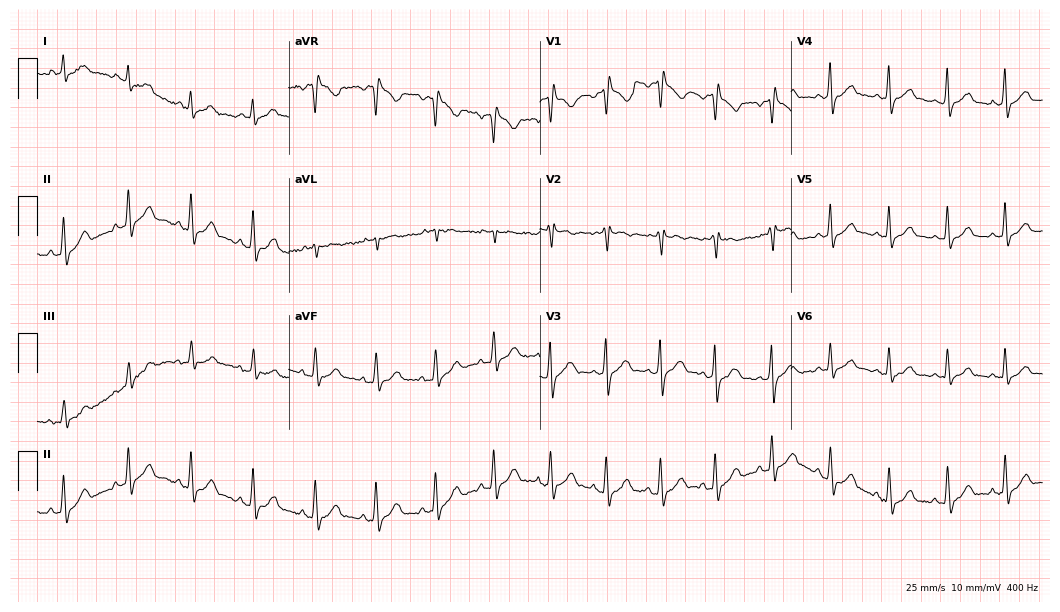
Electrocardiogram (10.2-second recording at 400 Hz), a male, 54 years old. Of the six screened findings (first-degree AV block, right bundle branch block (RBBB), left bundle branch block (LBBB), sinus bradycardia, atrial fibrillation (AF), sinus tachycardia), none is recorded. Findings outside these six are not listed.